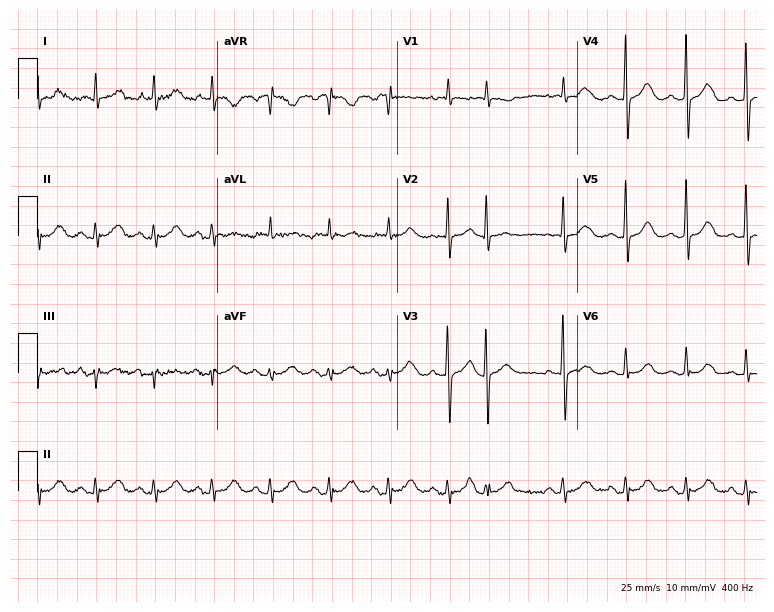
Resting 12-lead electrocardiogram (7.3-second recording at 400 Hz). Patient: a woman, 75 years old. None of these six findings is recorded: first-degree AV block, right bundle branch block (RBBB), left bundle branch block (LBBB), sinus bradycardia, atrial fibrillation (AF), sinus tachycardia.